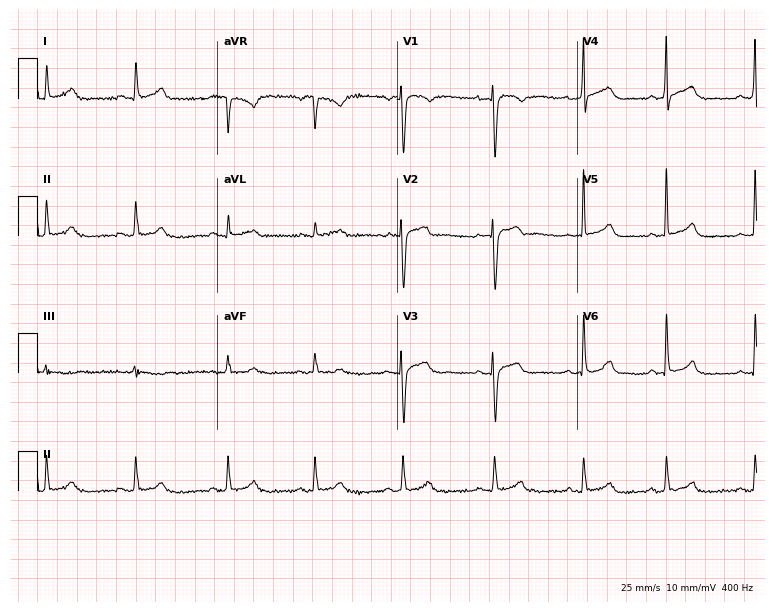
Standard 12-lead ECG recorded from a female, 43 years old (7.3-second recording at 400 Hz). Read as a normal ECG.